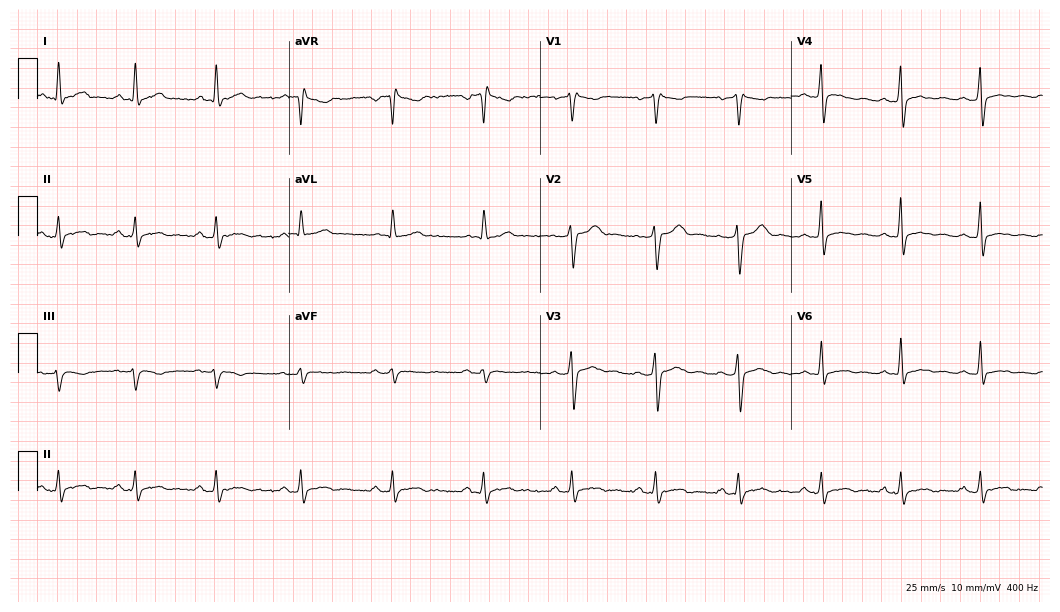
Resting 12-lead electrocardiogram. Patient: a 40-year-old male. None of these six findings is recorded: first-degree AV block, right bundle branch block, left bundle branch block, sinus bradycardia, atrial fibrillation, sinus tachycardia. Findings outside these six are not listed.